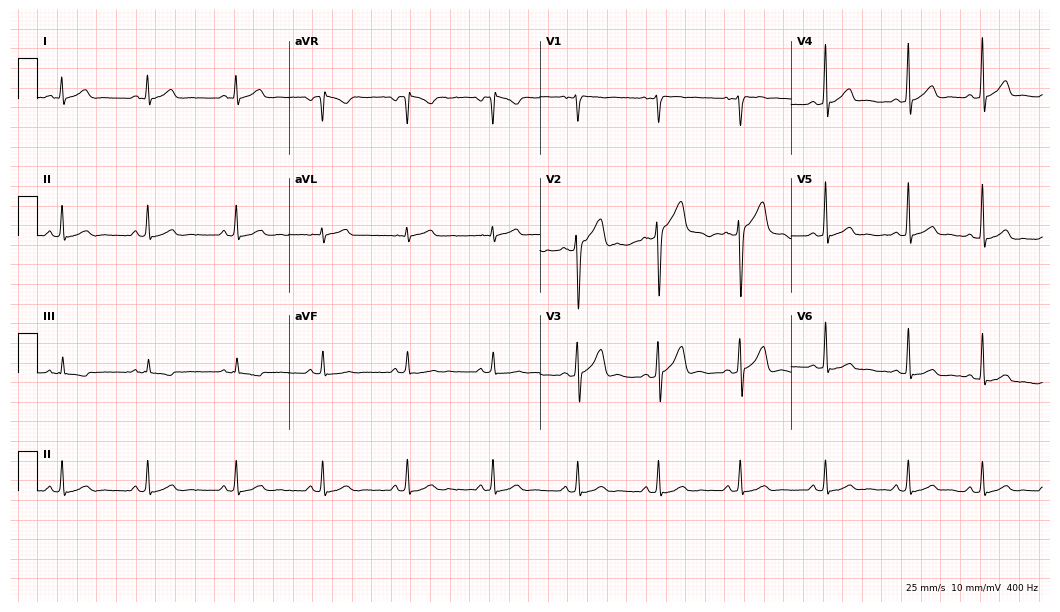
Electrocardiogram (10.2-second recording at 400 Hz), a man, 27 years old. Overall reading on record: normal ECG.